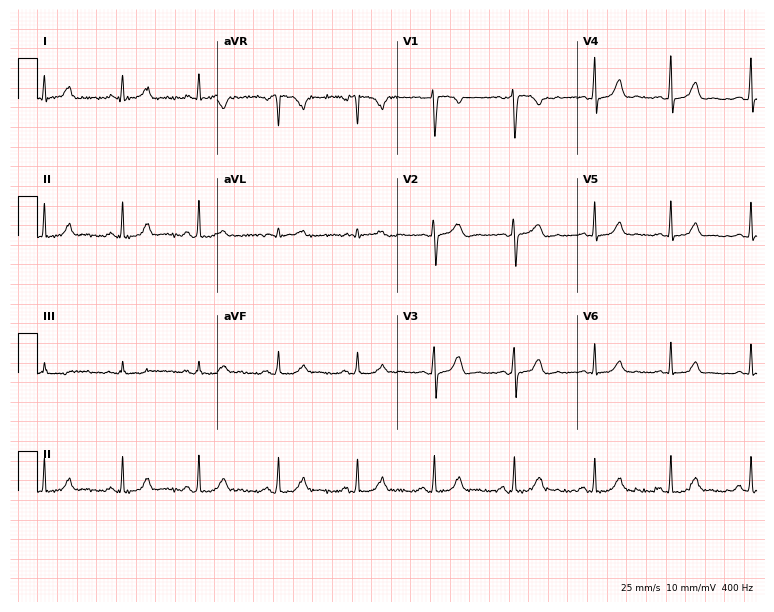
12-lead ECG from a female patient, 39 years old. Recorded interpretation: within normal limits.